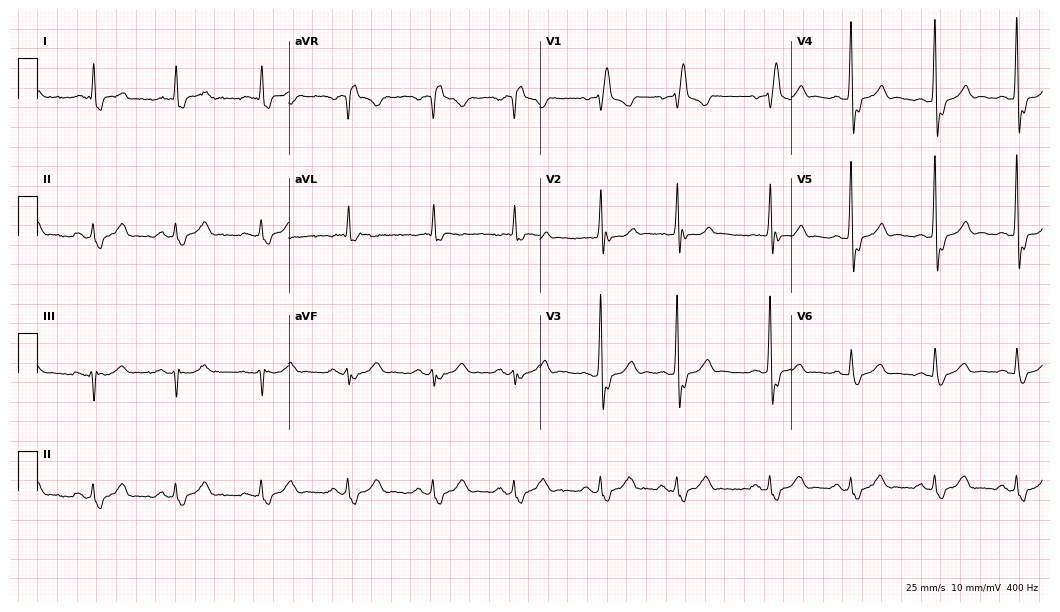
Electrocardiogram, an 83-year-old man. Of the six screened findings (first-degree AV block, right bundle branch block (RBBB), left bundle branch block (LBBB), sinus bradycardia, atrial fibrillation (AF), sinus tachycardia), none is recorded.